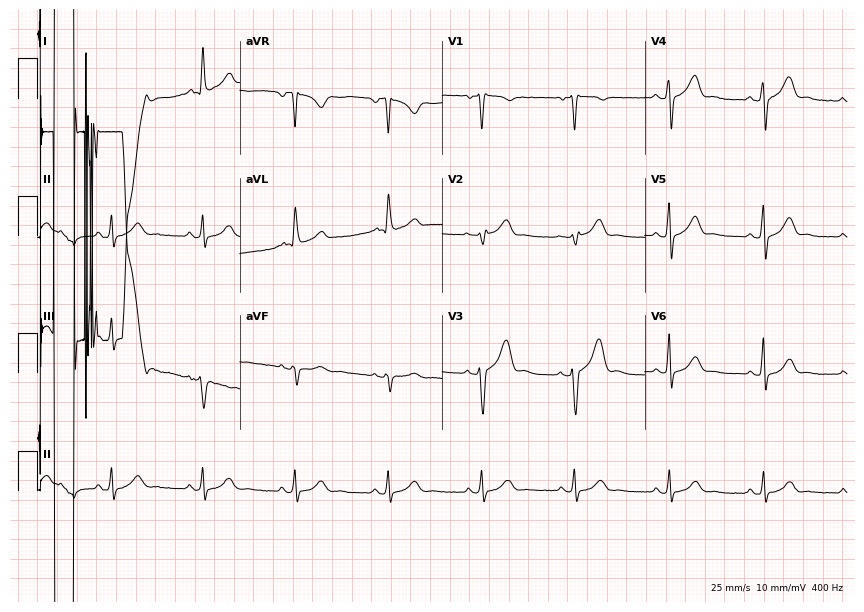
Standard 12-lead ECG recorded from a male patient, 56 years old (8.3-second recording at 400 Hz). None of these six findings is recorded: first-degree AV block, right bundle branch block, left bundle branch block, sinus bradycardia, atrial fibrillation, sinus tachycardia. Other findings, if any, are not listed.